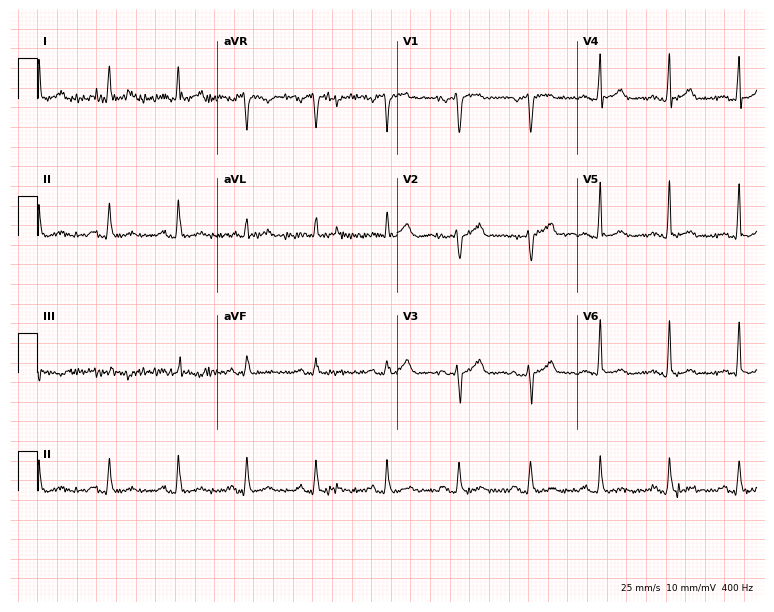
Electrocardiogram (7.3-second recording at 400 Hz), a male, 70 years old. Overall reading on record: normal ECG.